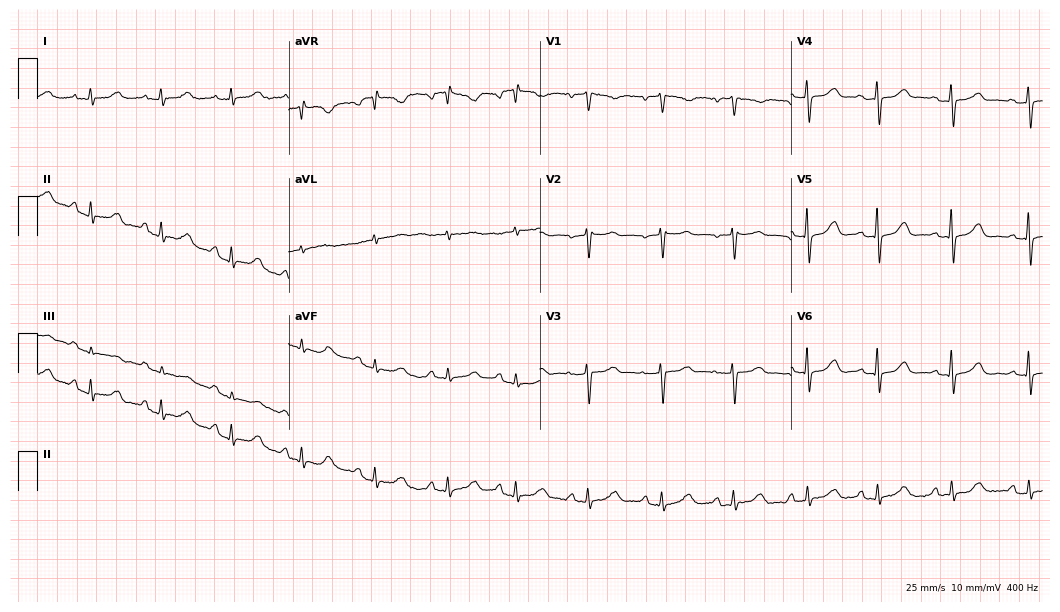
Resting 12-lead electrocardiogram. Patient: a female, 72 years old. Read as a normal ECG.